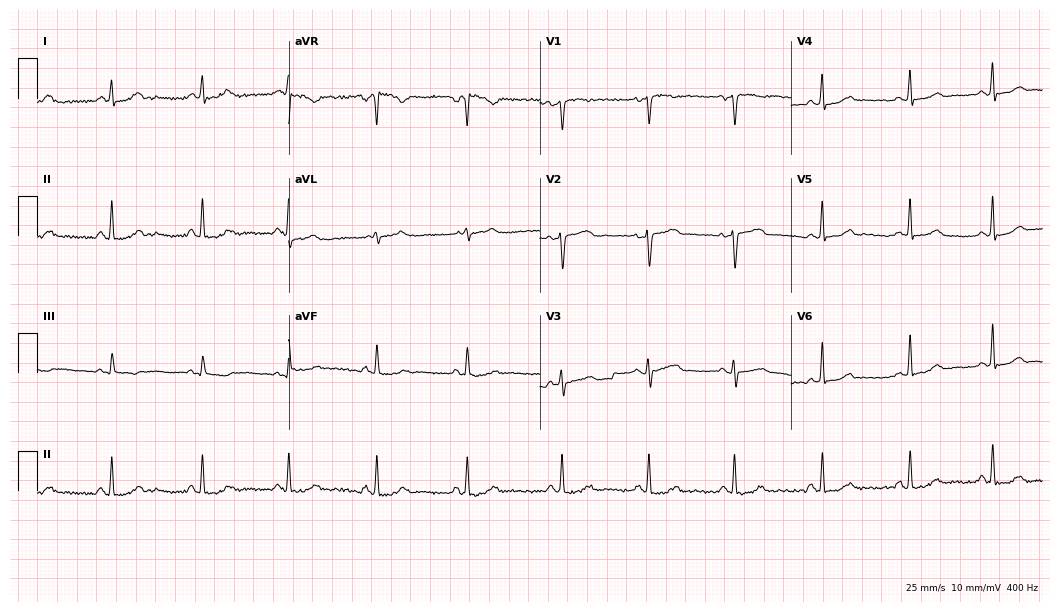
Standard 12-lead ECG recorded from a 30-year-old female patient (10.2-second recording at 400 Hz). Read as a normal ECG.